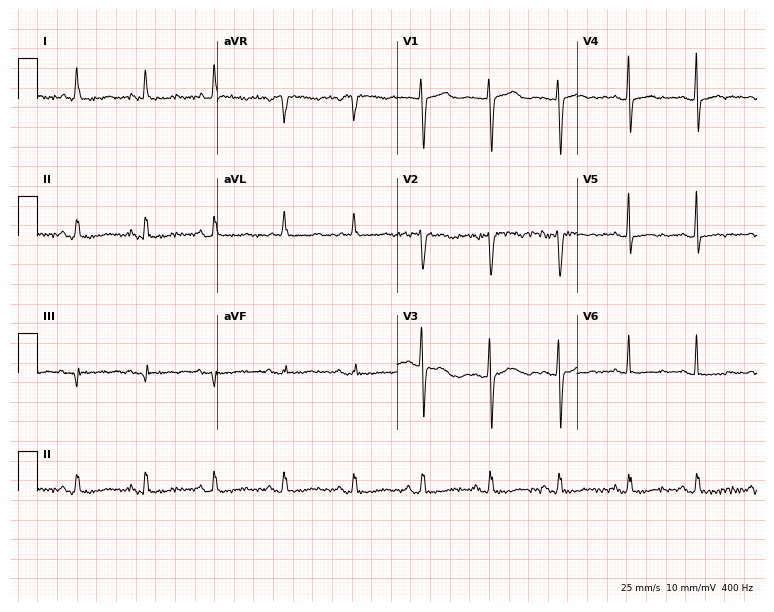
Electrocardiogram, a 64-year-old female patient. Of the six screened findings (first-degree AV block, right bundle branch block, left bundle branch block, sinus bradycardia, atrial fibrillation, sinus tachycardia), none is recorded. Findings outside these six are not listed.